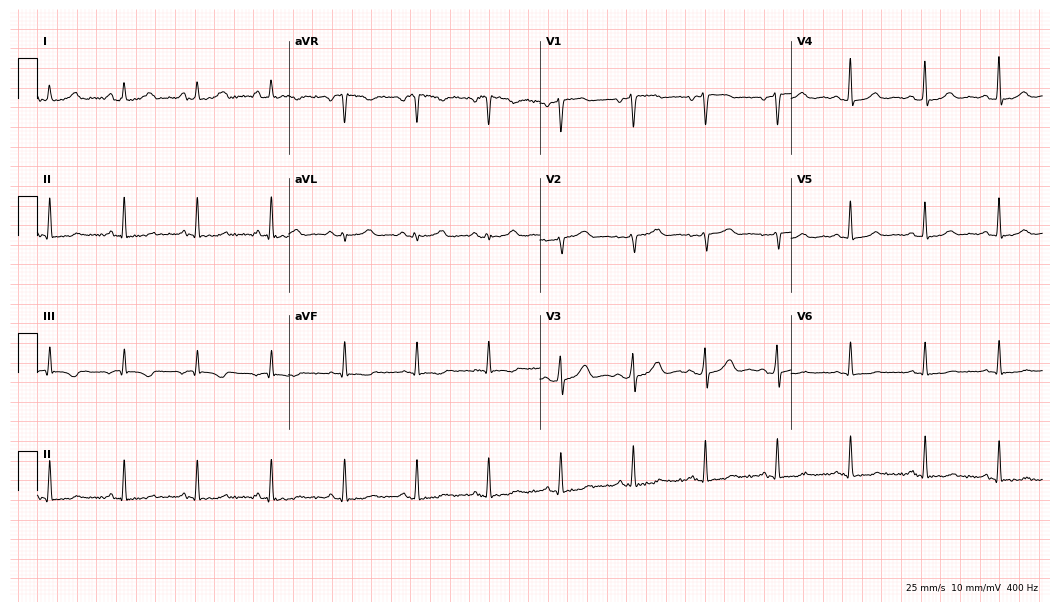
Electrocardiogram (10.2-second recording at 400 Hz), a female patient, 60 years old. Overall reading on record: normal ECG.